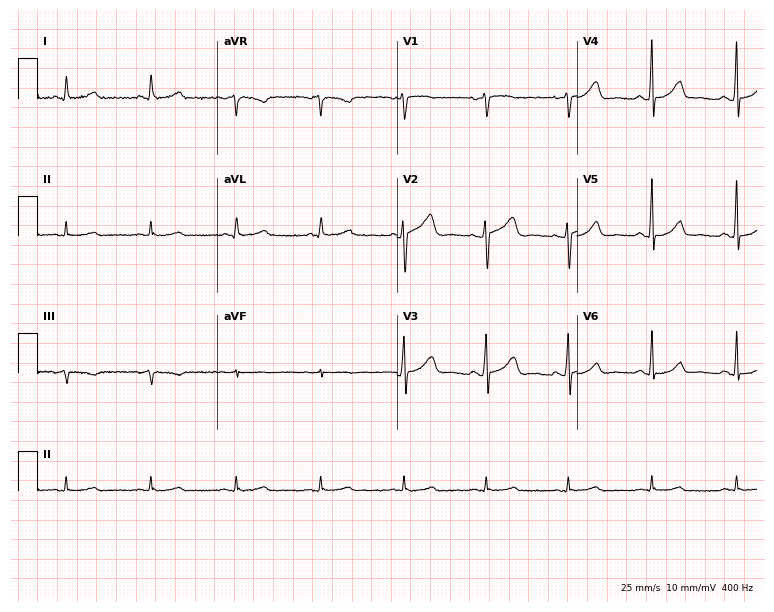
12-lead ECG from a female, 48 years old (7.3-second recording at 400 Hz). Recorded interpretation: within normal limits.